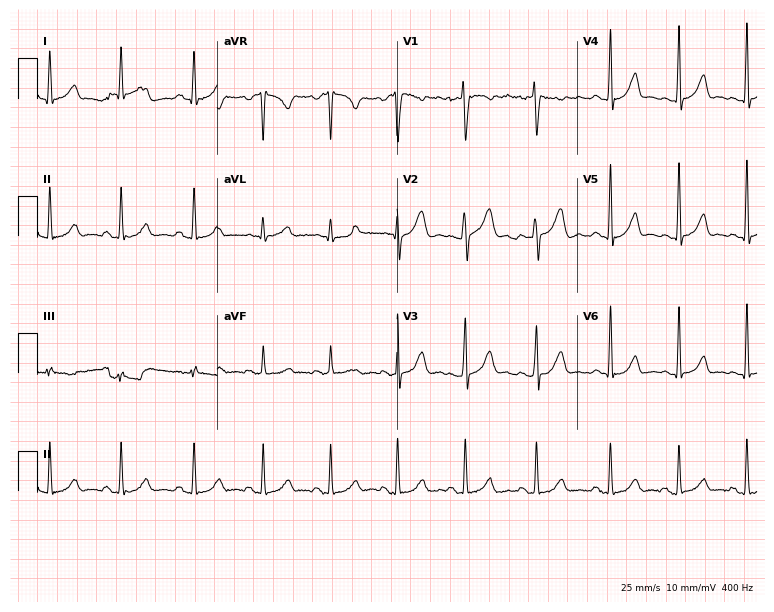
Electrocardiogram (7.3-second recording at 400 Hz), a 17-year-old female patient. Overall reading on record: normal ECG.